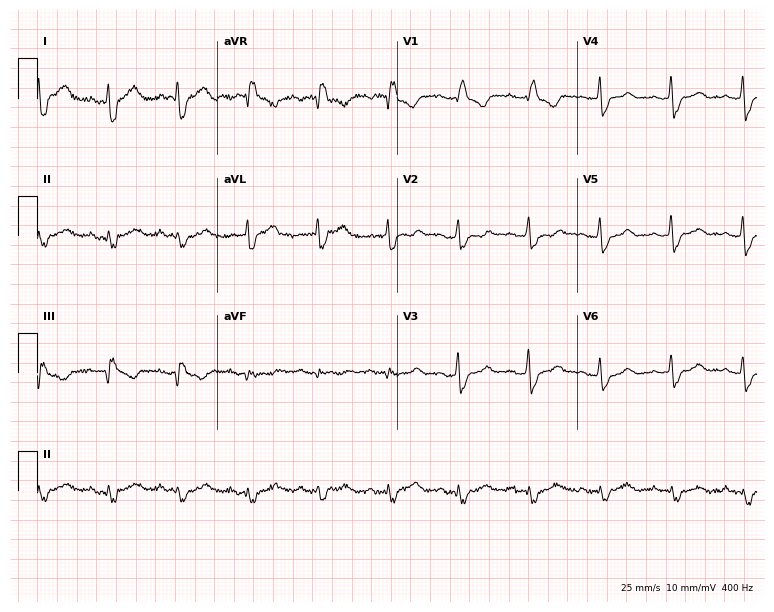
12-lead ECG from a woman, 45 years old. Screened for six findings — first-degree AV block, right bundle branch block, left bundle branch block, sinus bradycardia, atrial fibrillation, sinus tachycardia — none is recorded. Only these six findings were labelled.